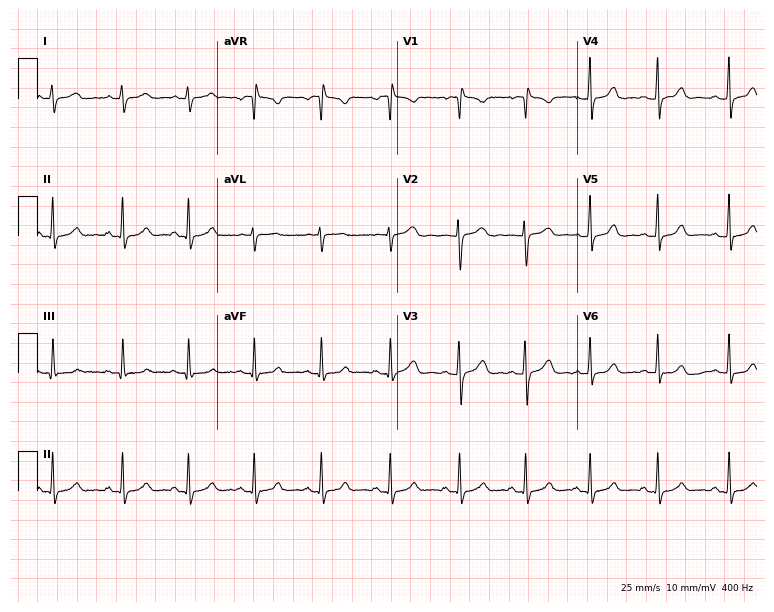
Electrocardiogram, a 28-year-old female patient. Overall reading on record: normal ECG.